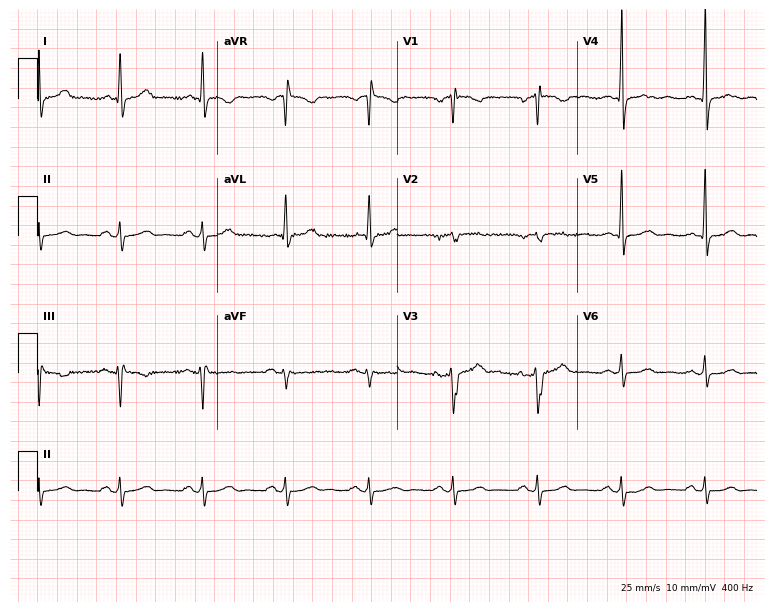
Standard 12-lead ECG recorded from a male, 43 years old (7.3-second recording at 400 Hz). None of these six findings is recorded: first-degree AV block, right bundle branch block (RBBB), left bundle branch block (LBBB), sinus bradycardia, atrial fibrillation (AF), sinus tachycardia.